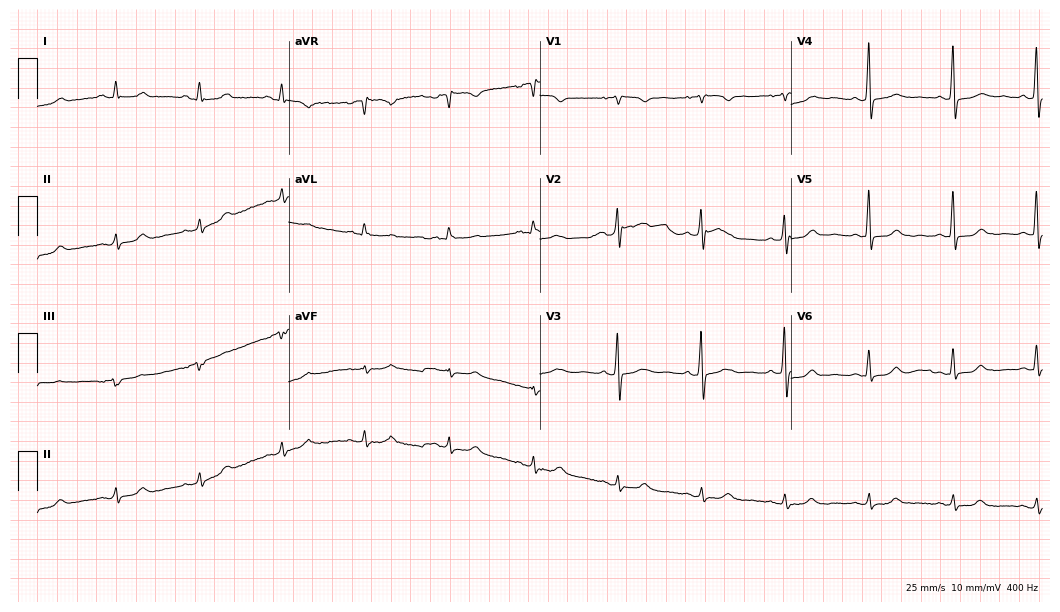
Resting 12-lead electrocardiogram (10.2-second recording at 400 Hz). Patient: a 61-year-old female. Read as a normal ECG.